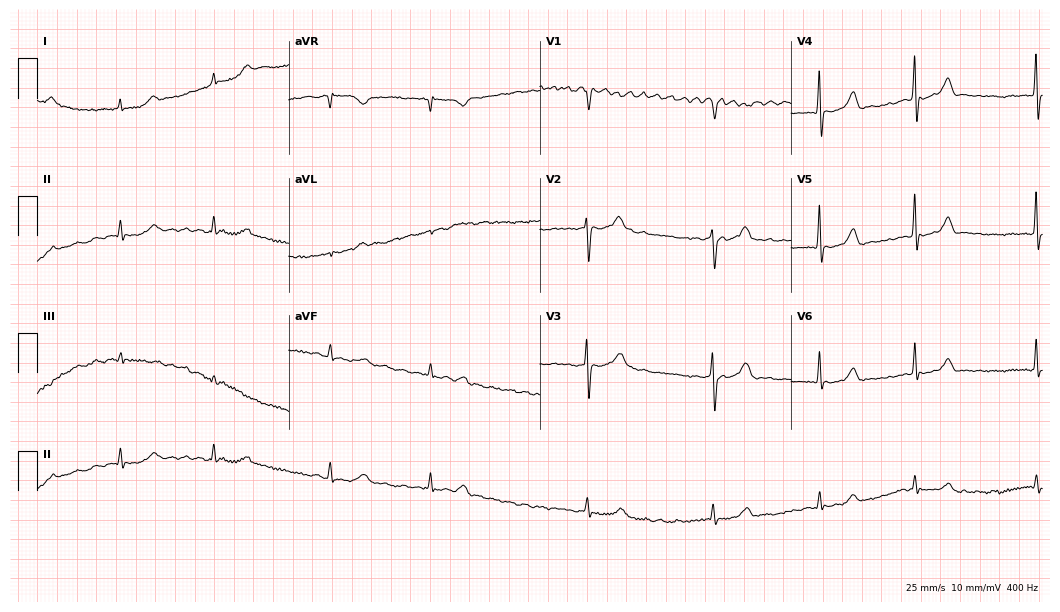
ECG — an 84-year-old male patient. Findings include atrial fibrillation.